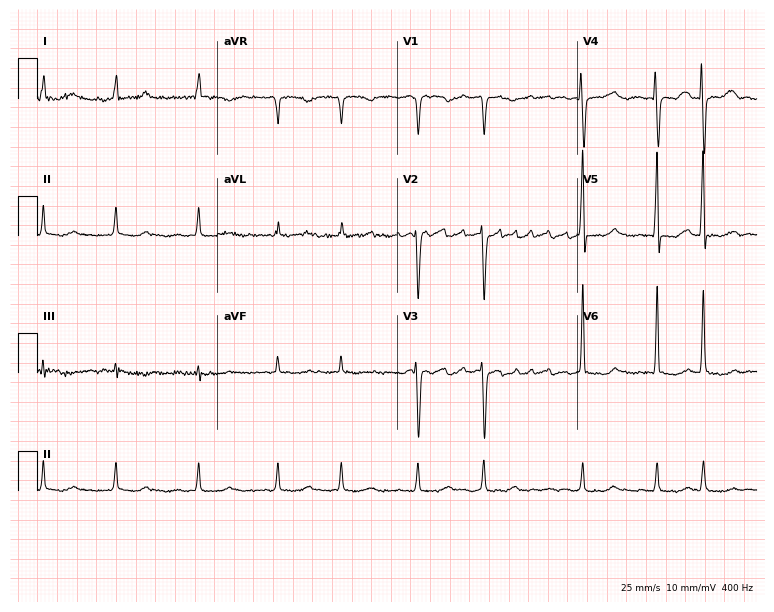
12-lead ECG (7.3-second recording at 400 Hz) from a female patient, 62 years old. Findings include atrial fibrillation.